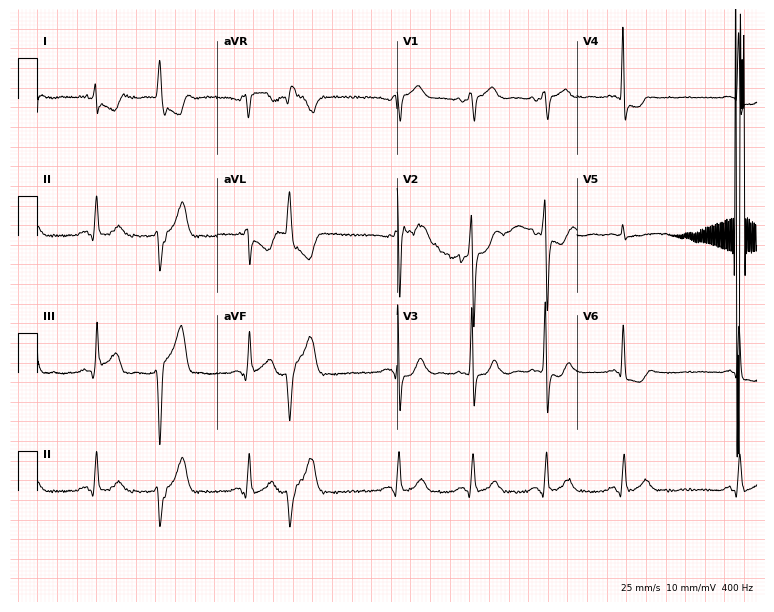
12-lead ECG from a 52-year-old male. No first-degree AV block, right bundle branch block, left bundle branch block, sinus bradycardia, atrial fibrillation or sinus tachycardia recorded for this tracing. Only these six findings were labelled.